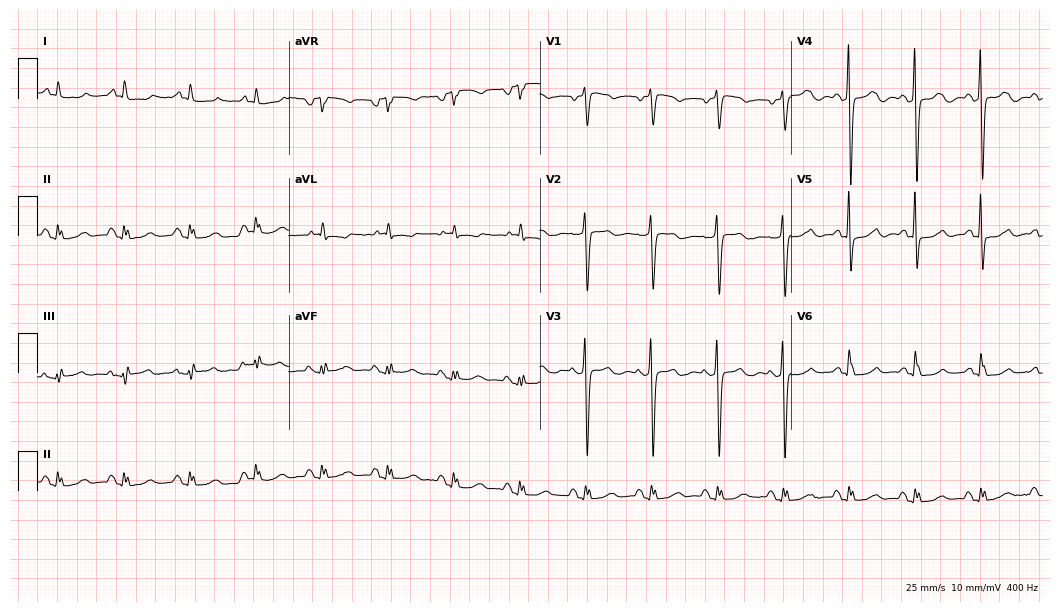
Electrocardiogram (10.2-second recording at 400 Hz), a 79-year-old female. Overall reading on record: normal ECG.